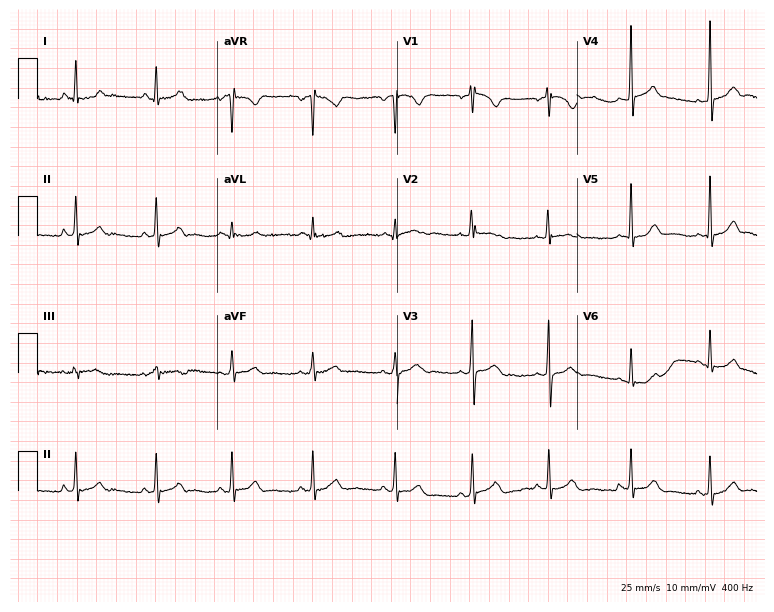
ECG — an 18-year-old woman. Screened for six findings — first-degree AV block, right bundle branch block, left bundle branch block, sinus bradycardia, atrial fibrillation, sinus tachycardia — none is recorded.